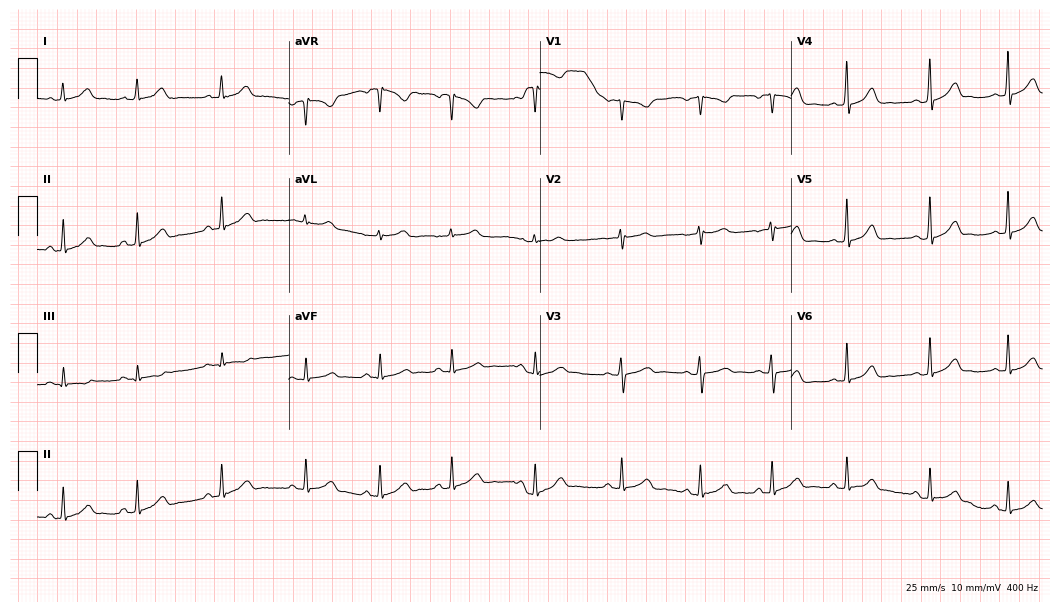
ECG — a 27-year-old woman. Labelled as a normal ECG.